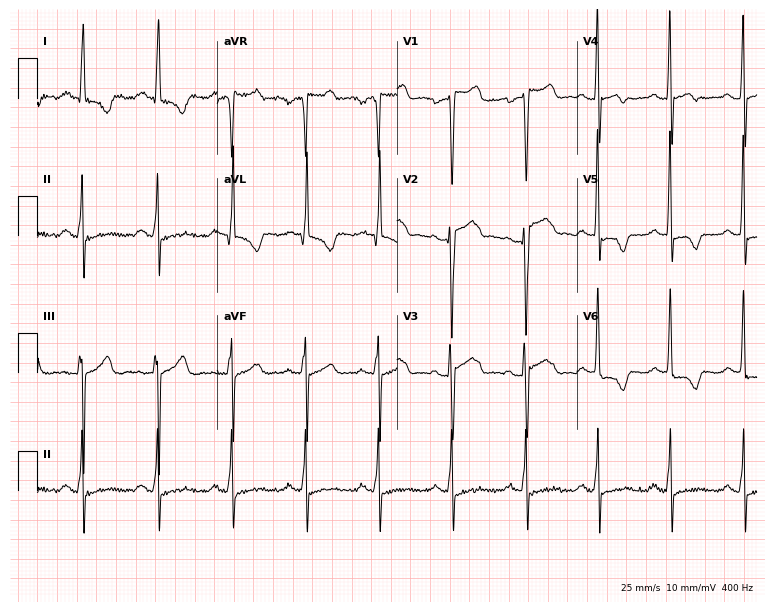
Resting 12-lead electrocardiogram (7.3-second recording at 400 Hz). Patient: a 33-year-old male. Read as a normal ECG.